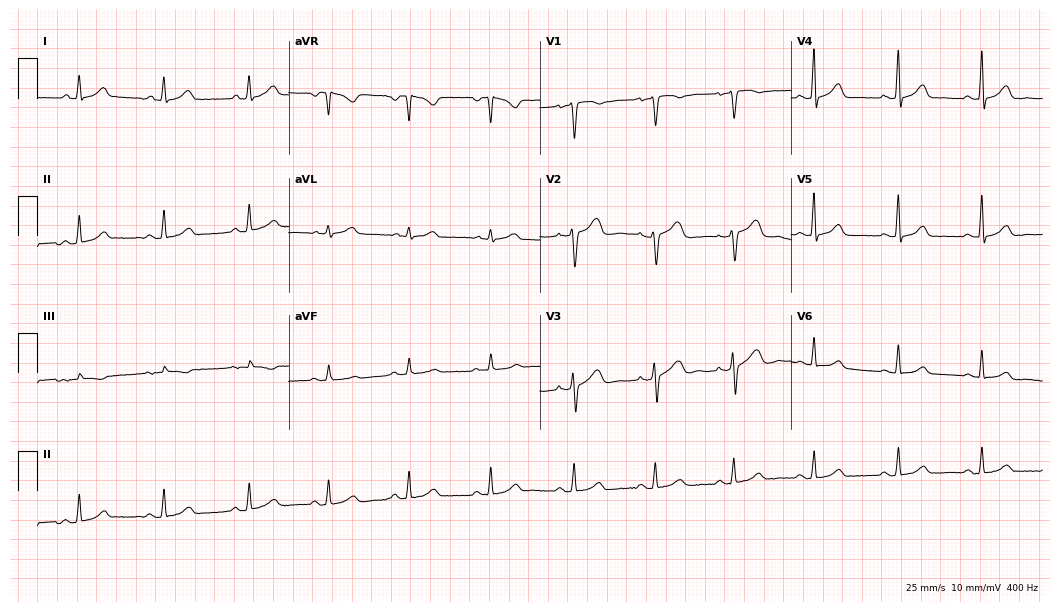
Resting 12-lead electrocardiogram (10.2-second recording at 400 Hz). Patient: a woman, 45 years old. Read as a normal ECG.